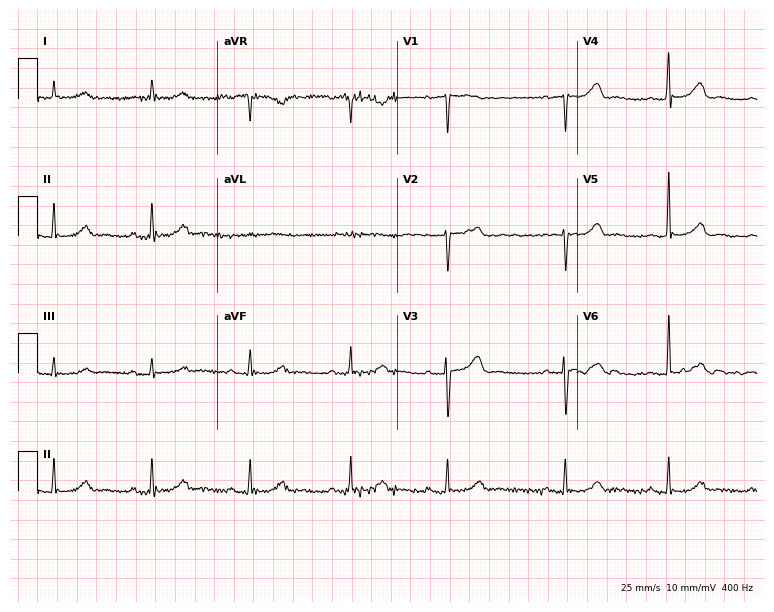
12-lead ECG from a woman, 79 years old (7.3-second recording at 400 Hz). No first-degree AV block, right bundle branch block (RBBB), left bundle branch block (LBBB), sinus bradycardia, atrial fibrillation (AF) or sinus tachycardia recorded for this tracing. Findings outside these six are not listed.